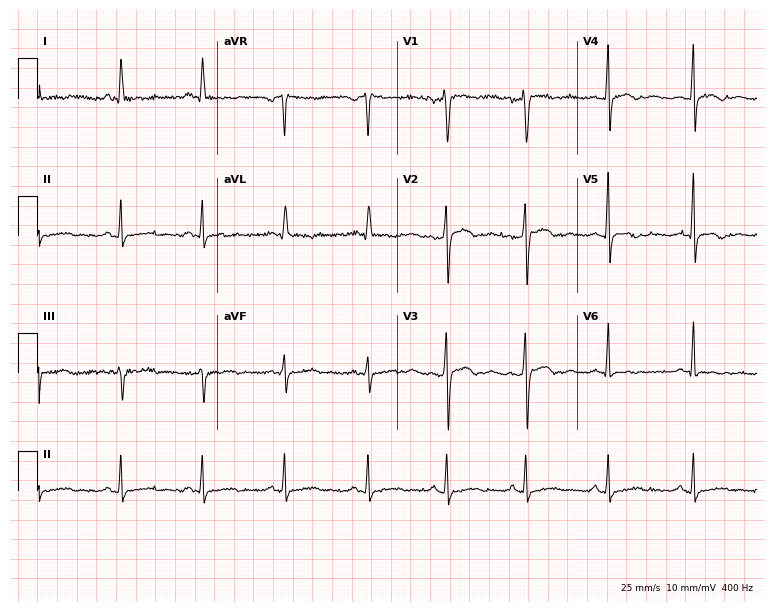
12-lead ECG from a woman, 42 years old (7.3-second recording at 400 Hz). No first-degree AV block, right bundle branch block (RBBB), left bundle branch block (LBBB), sinus bradycardia, atrial fibrillation (AF) or sinus tachycardia recorded for this tracing. Only these six findings were labelled.